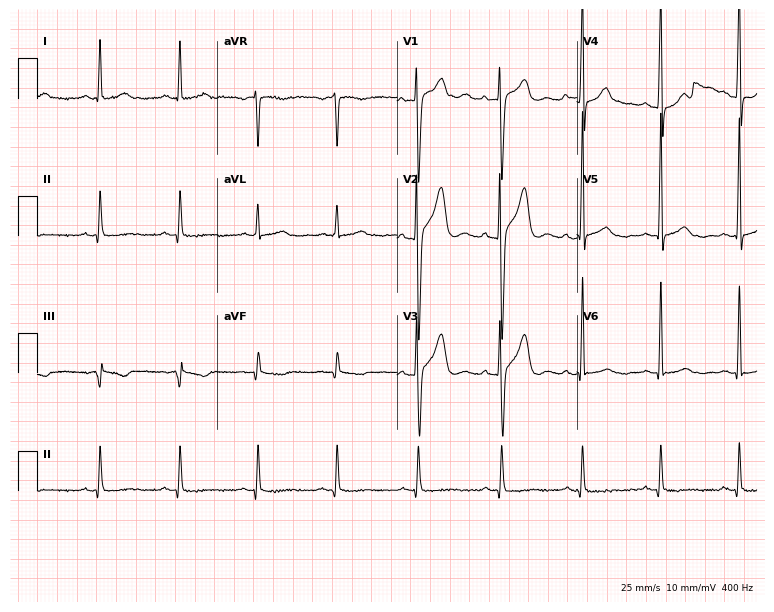
12-lead ECG from a 45-year-old male patient (7.3-second recording at 400 Hz). No first-degree AV block, right bundle branch block, left bundle branch block, sinus bradycardia, atrial fibrillation or sinus tachycardia recorded for this tracing.